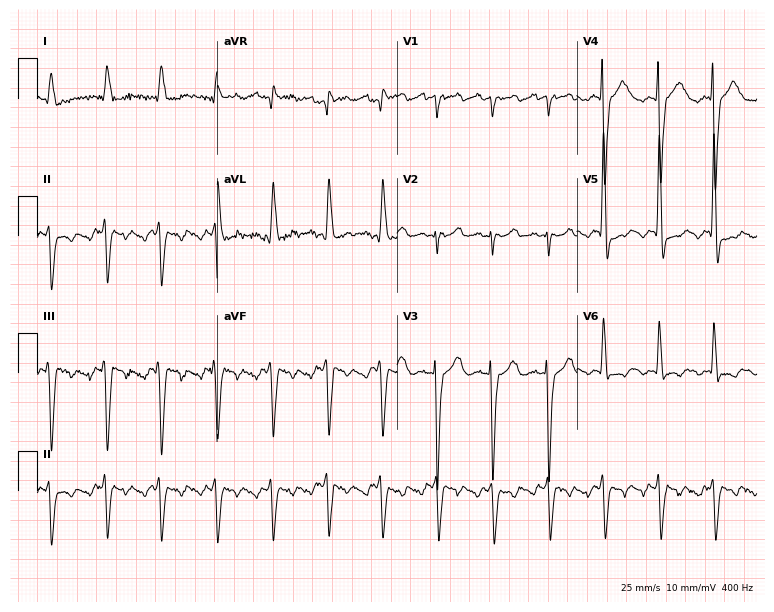
Electrocardiogram (7.3-second recording at 400 Hz), a male, 77 years old. Of the six screened findings (first-degree AV block, right bundle branch block, left bundle branch block, sinus bradycardia, atrial fibrillation, sinus tachycardia), none is recorded.